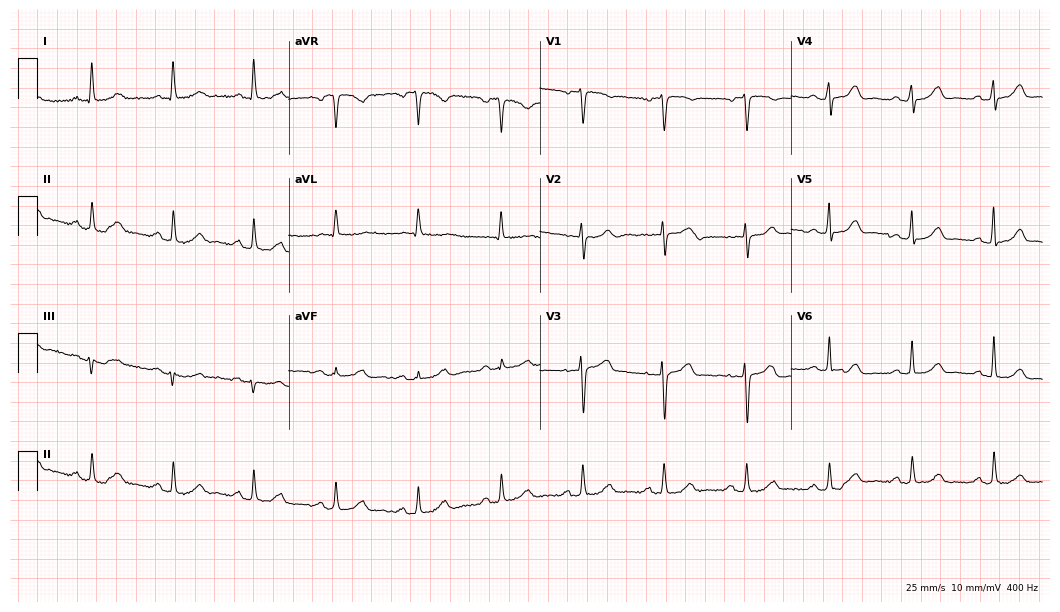
Resting 12-lead electrocardiogram (10.2-second recording at 400 Hz). Patient: a 60-year-old female. Read as a normal ECG.